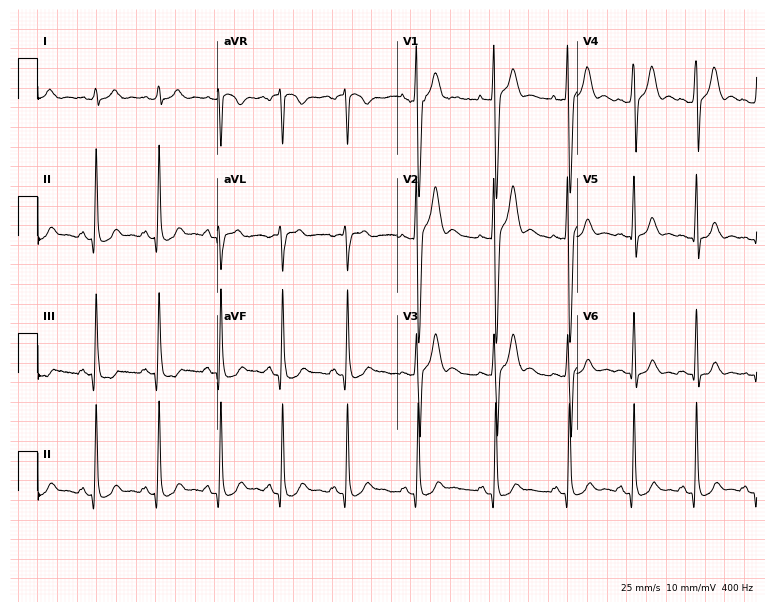
12-lead ECG (7.3-second recording at 400 Hz) from a 24-year-old male. Screened for six findings — first-degree AV block, right bundle branch block, left bundle branch block, sinus bradycardia, atrial fibrillation, sinus tachycardia — none is recorded. Findings outside these six are not listed.